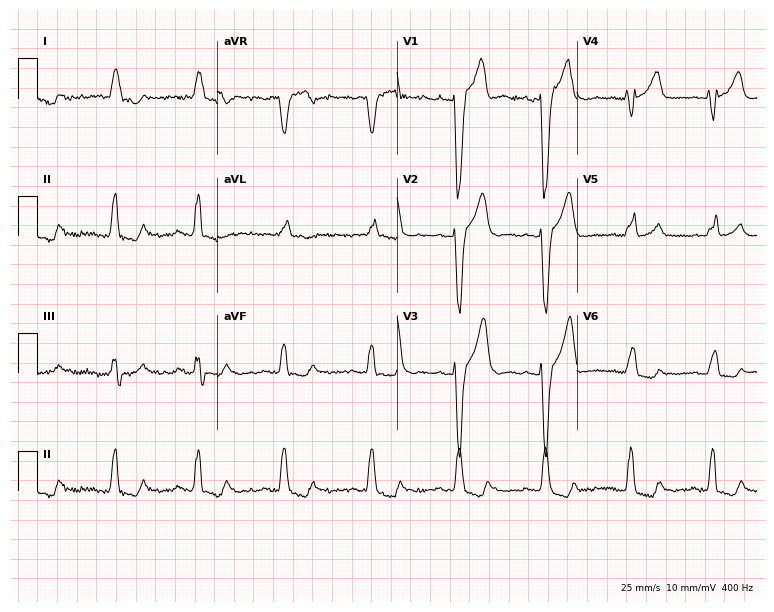
12-lead ECG (7.3-second recording at 400 Hz) from a male, 83 years old. Findings include left bundle branch block.